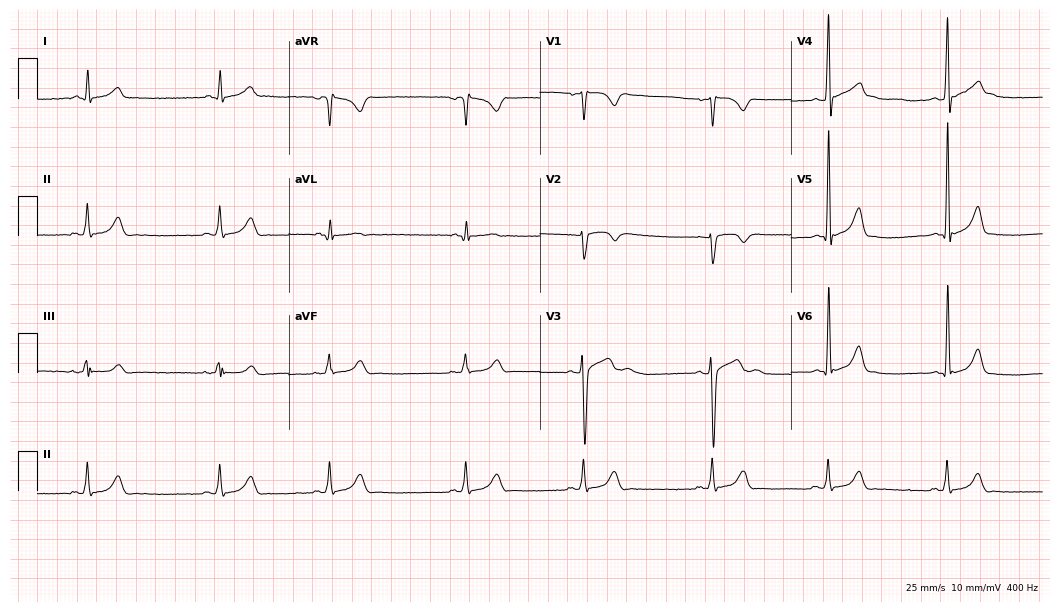
Electrocardiogram, a man, 18 years old. Of the six screened findings (first-degree AV block, right bundle branch block, left bundle branch block, sinus bradycardia, atrial fibrillation, sinus tachycardia), none is recorded.